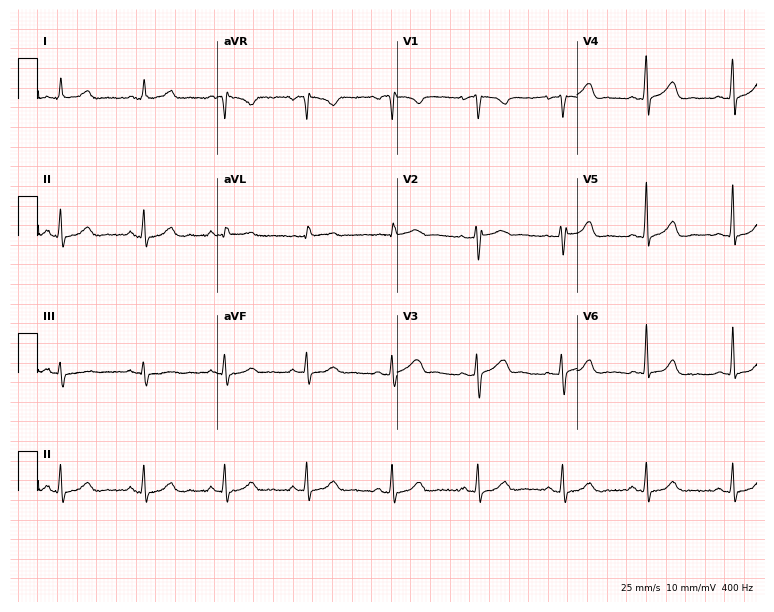
12-lead ECG from a 45-year-old woman. Recorded interpretation: within normal limits.